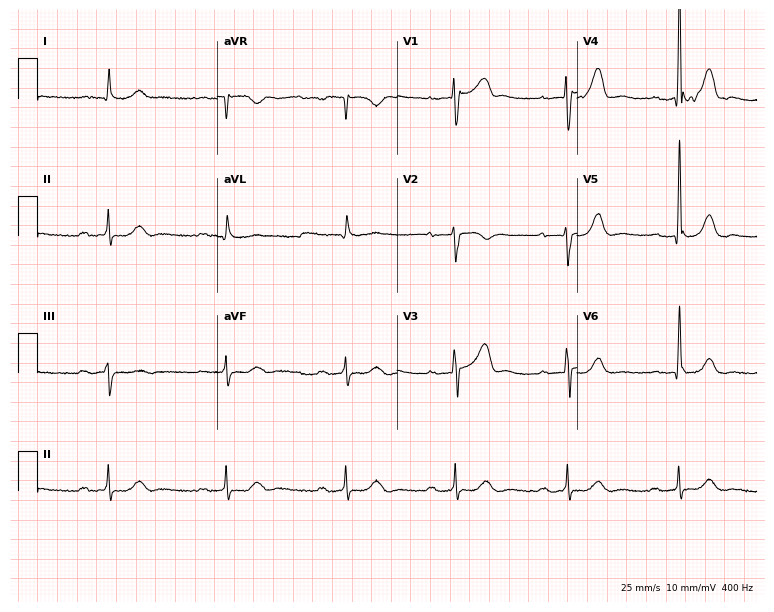
ECG — a 52-year-old man. Findings include first-degree AV block.